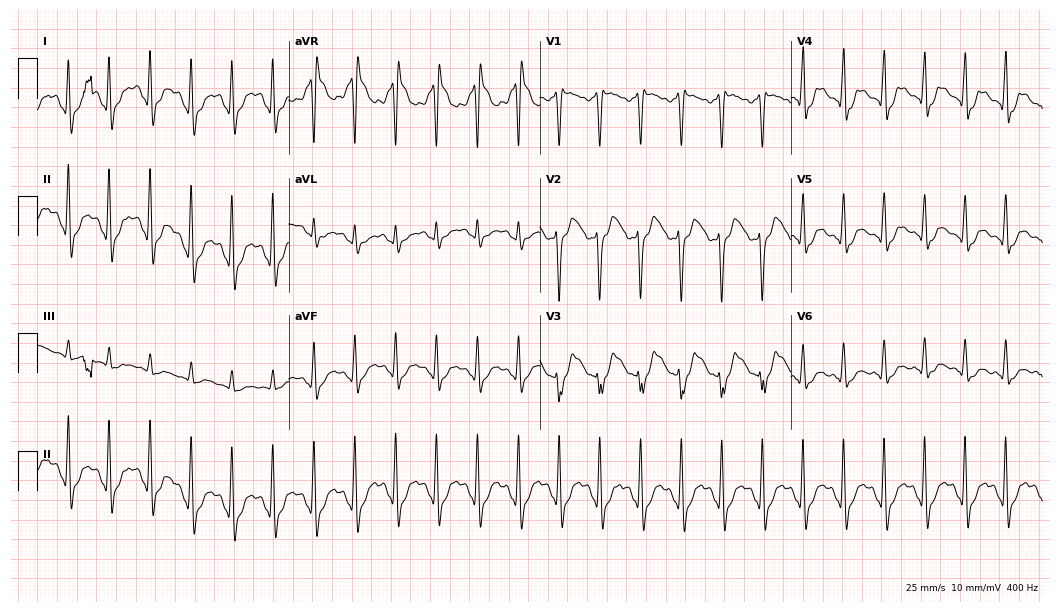
Resting 12-lead electrocardiogram (10.2-second recording at 400 Hz). Patient: a 28-year-old woman. The tracing shows sinus tachycardia (a sinus rate of 100 beats per minute or more).